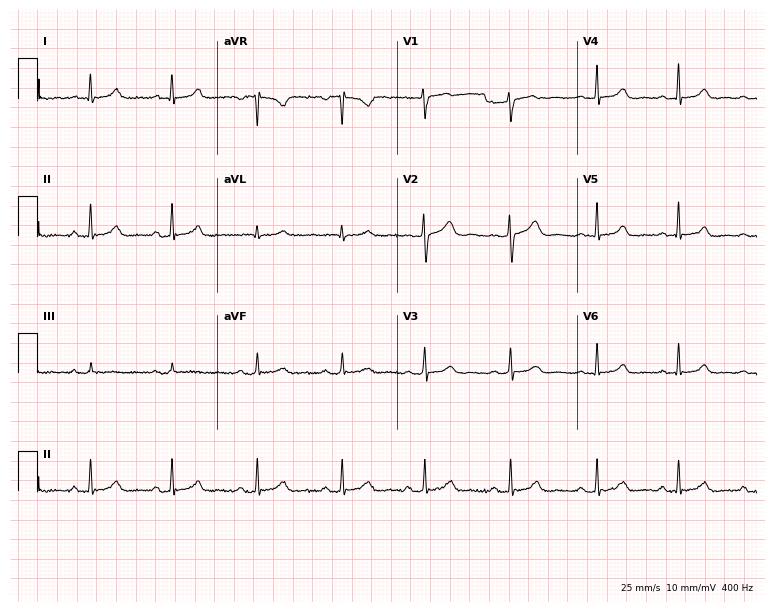
Standard 12-lead ECG recorded from a woman, 30 years old. Read as a normal ECG.